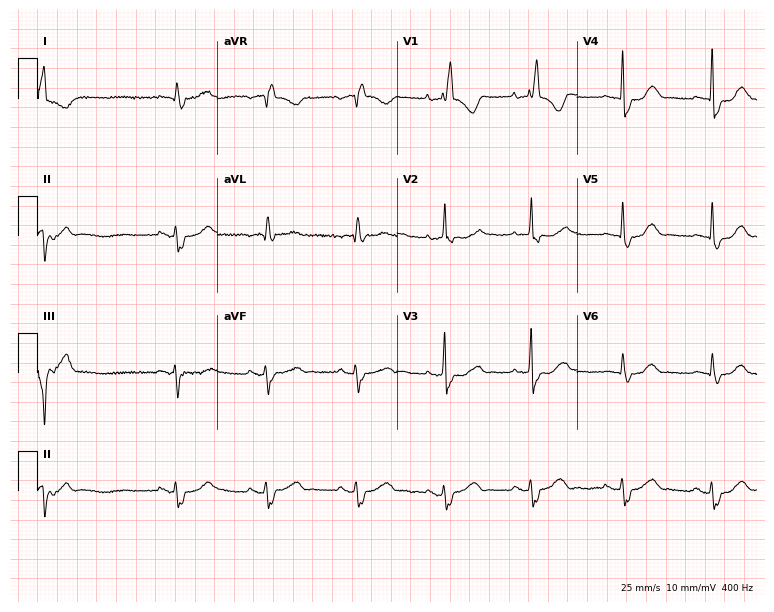
ECG (7.3-second recording at 400 Hz) — a 77-year-old female. Findings include right bundle branch block.